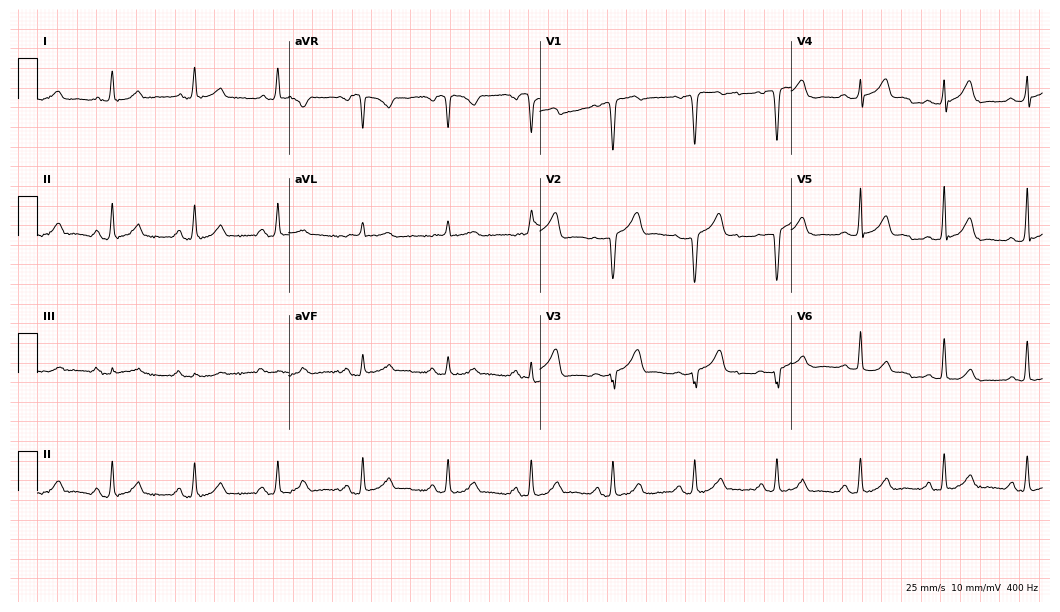
Standard 12-lead ECG recorded from a male patient, 61 years old (10.2-second recording at 400 Hz). Read as a normal ECG.